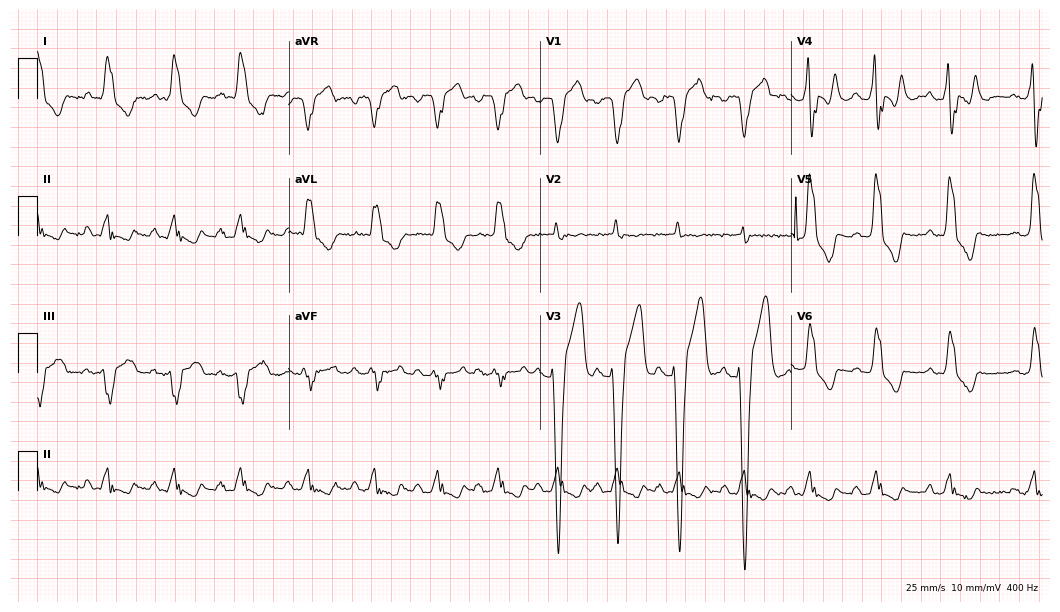
Electrocardiogram (10.2-second recording at 400 Hz), a male, 44 years old. Interpretation includes left bundle branch block.